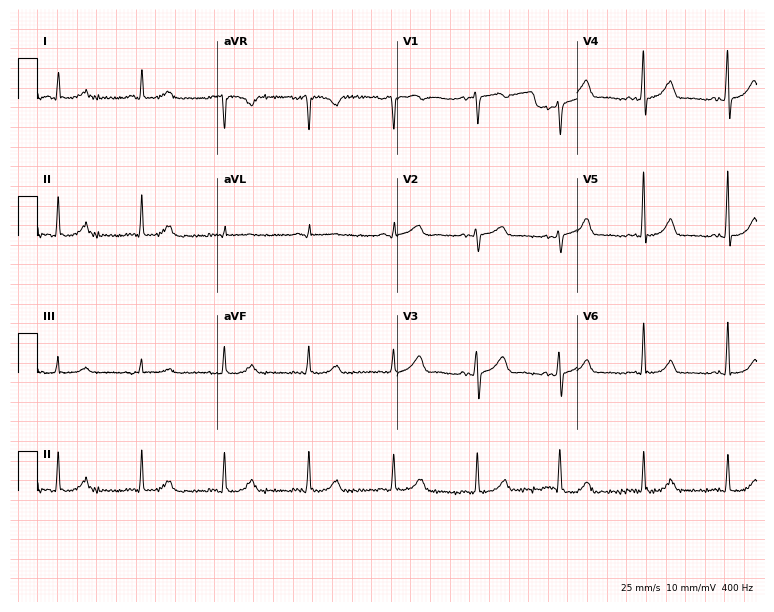
Electrocardiogram (7.3-second recording at 400 Hz), a female, 59 years old. Overall reading on record: normal ECG.